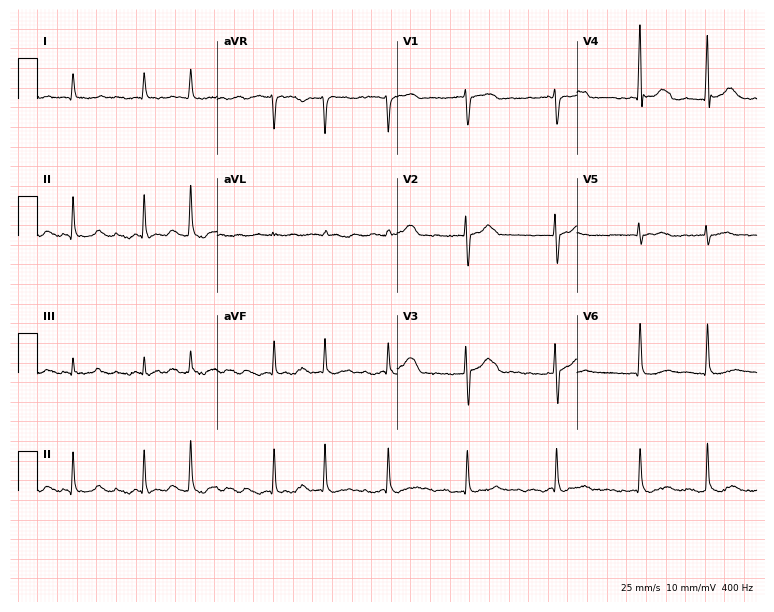
12-lead ECG (7.3-second recording at 400 Hz) from a male, 84 years old. Findings include atrial fibrillation.